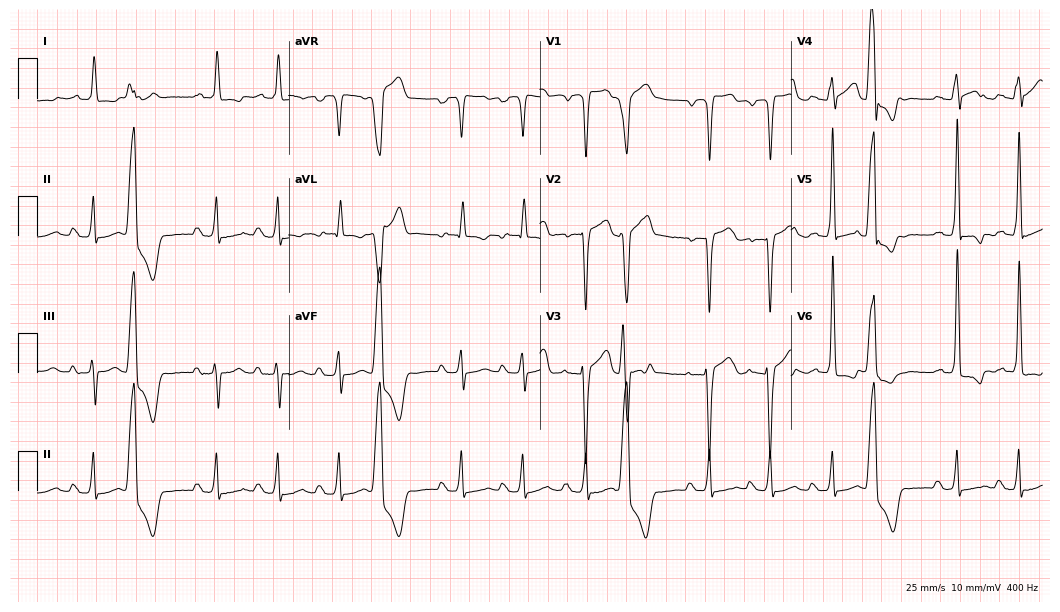
12-lead ECG from a 77-year-old male (10.2-second recording at 400 Hz). No first-degree AV block, right bundle branch block, left bundle branch block, sinus bradycardia, atrial fibrillation or sinus tachycardia recorded for this tracing. Only these six findings were labelled.